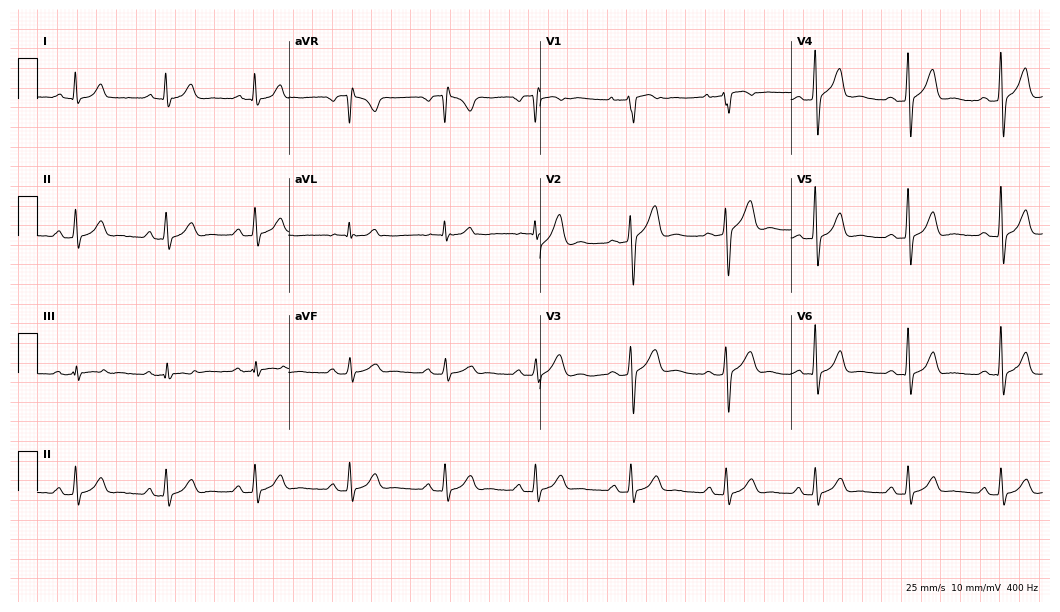
ECG — a 38-year-old female patient. Labelled as a normal ECG.